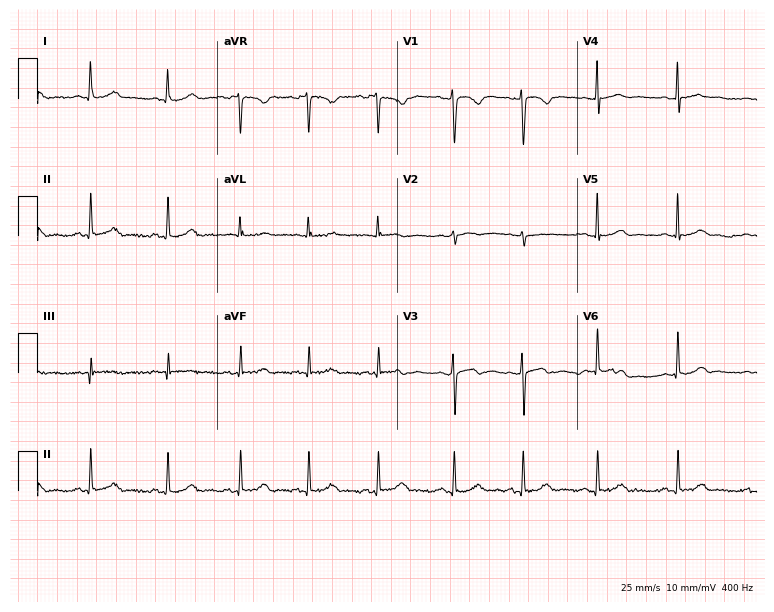
12-lead ECG from a woman, 22 years old. Recorded interpretation: within normal limits.